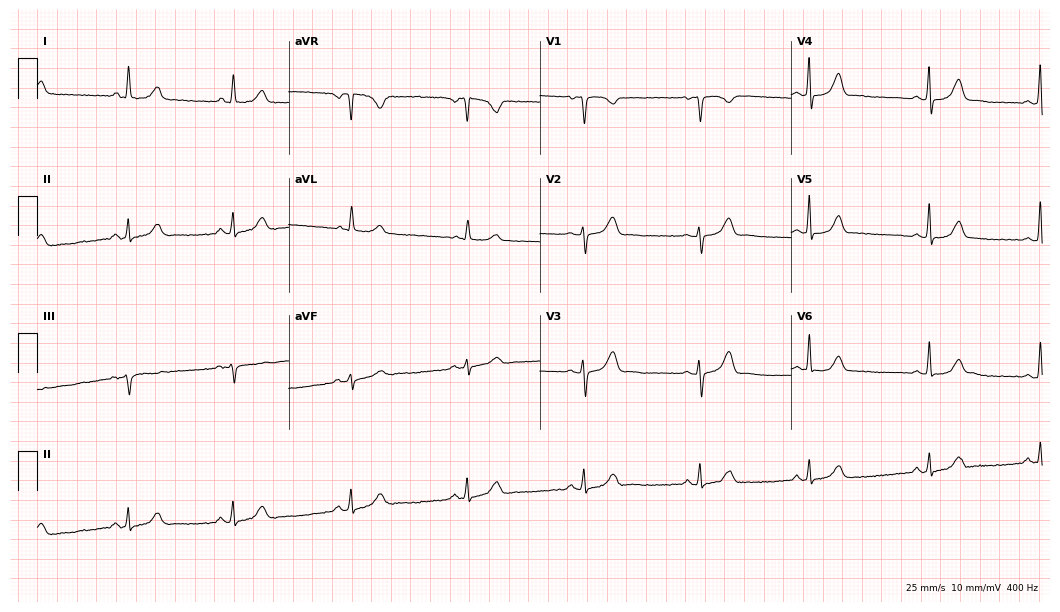
12-lead ECG from a 35-year-old woman. No first-degree AV block, right bundle branch block, left bundle branch block, sinus bradycardia, atrial fibrillation or sinus tachycardia recorded for this tracing. Findings outside these six are not listed.